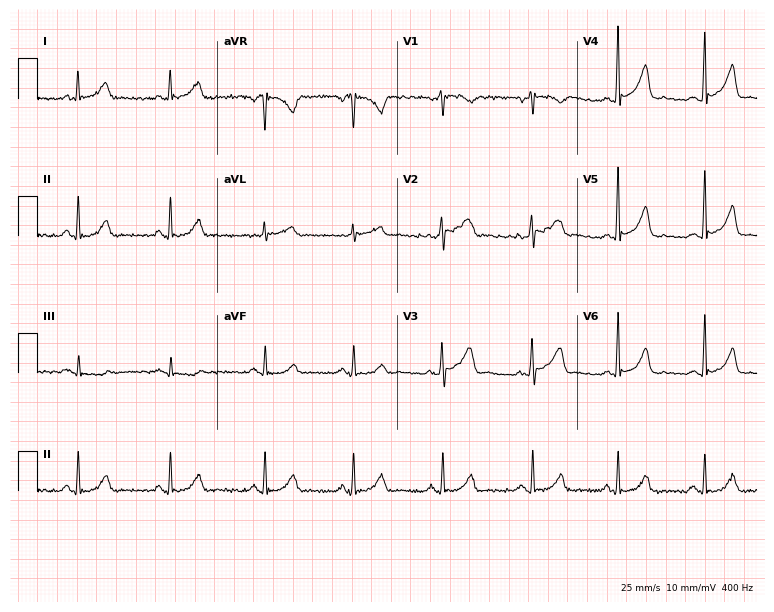
12-lead ECG (7.3-second recording at 400 Hz) from a female, 44 years old. Labelled as a normal ECG.